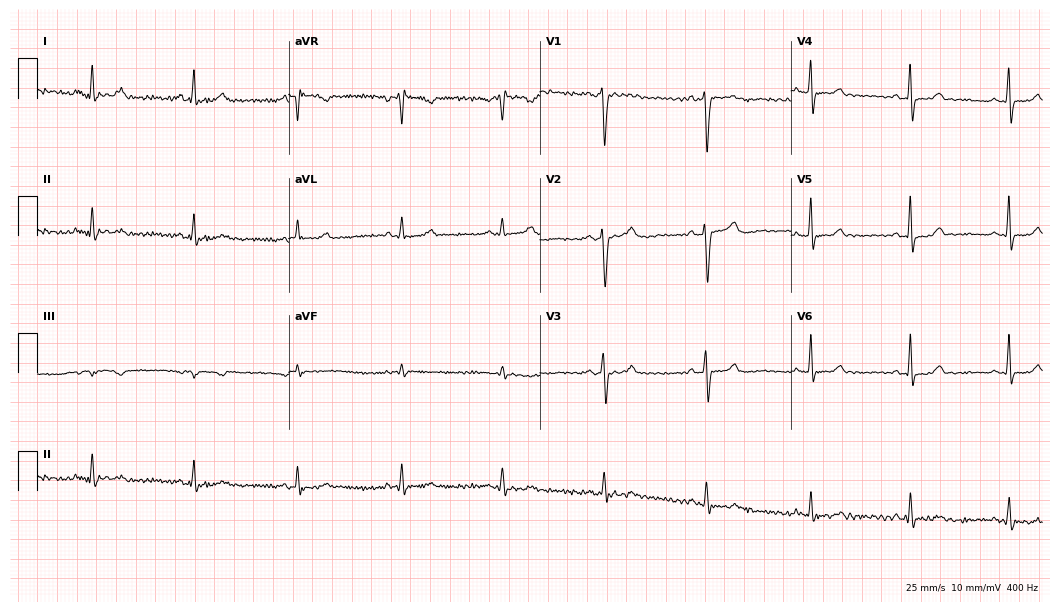
ECG (10.2-second recording at 400 Hz) — a female patient, 59 years old. Screened for six findings — first-degree AV block, right bundle branch block (RBBB), left bundle branch block (LBBB), sinus bradycardia, atrial fibrillation (AF), sinus tachycardia — none is recorded. Only these six findings were labelled.